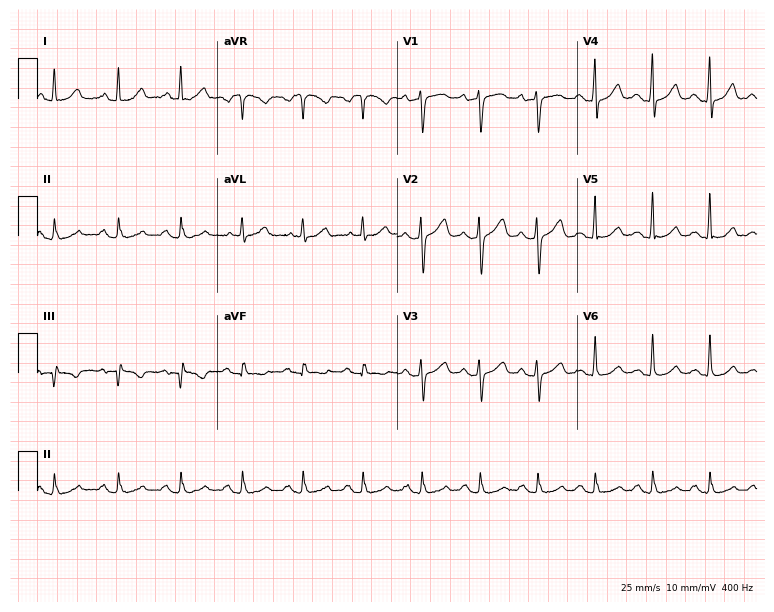
Electrocardiogram (7.3-second recording at 400 Hz), a woman, 67 years old. Overall reading on record: normal ECG.